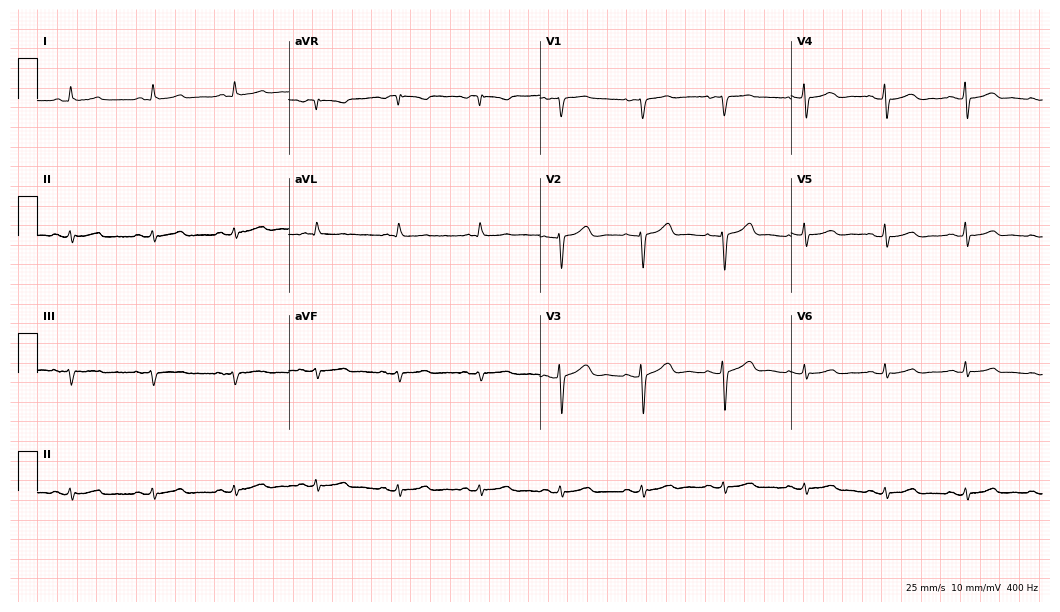
12-lead ECG from a woman, 50 years old. No first-degree AV block, right bundle branch block (RBBB), left bundle branch block (LBBB), sinus bradycardia, atrial fibrillation (AF) or sinus tachycardia recorded for this tracing. Findings outside these six are not listed.